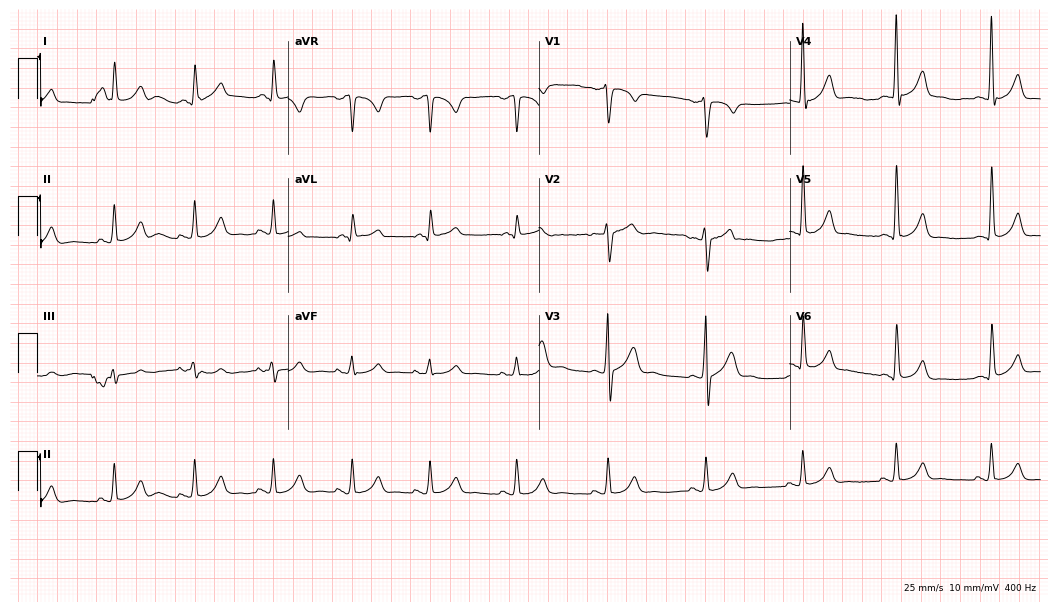
ECG — a man, 34 years old. Labelled as a normal ECG.